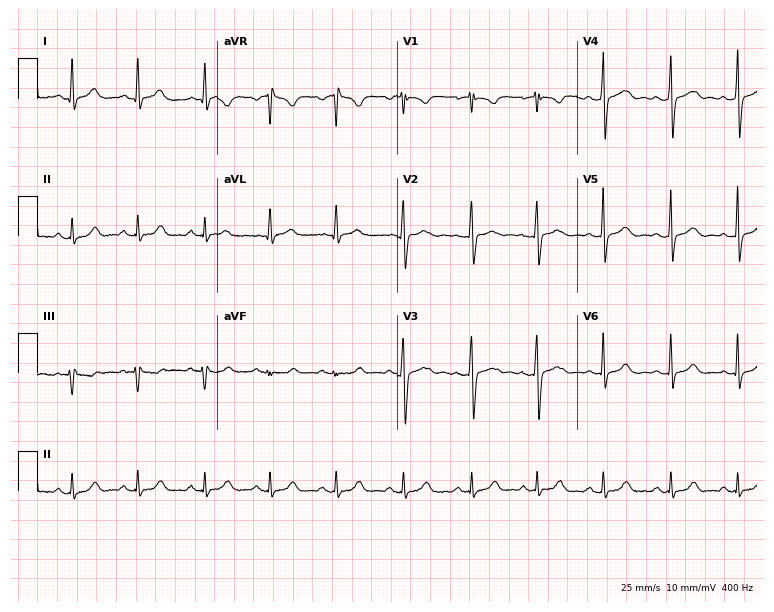
Resting 12-lead electrocardiogram. Patient: a female, 20 years old. Read as a normal ECG.